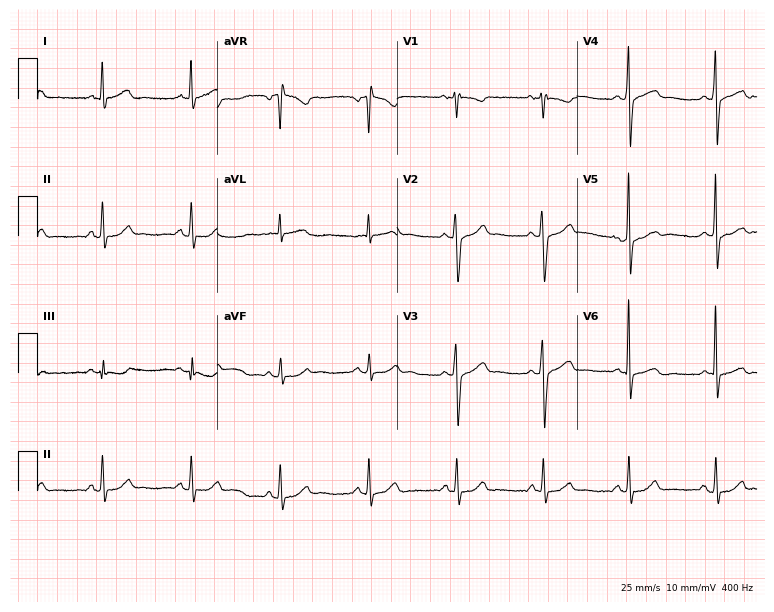
12-lead ECG from a male patient, 47 years old. No first-degree AV block, right bundle branch block, left bundle branch block, sinus bradycardia, atrial fibrillation or sinus tachycardia recorded for this tracing. Other findings, if any, are not listed.